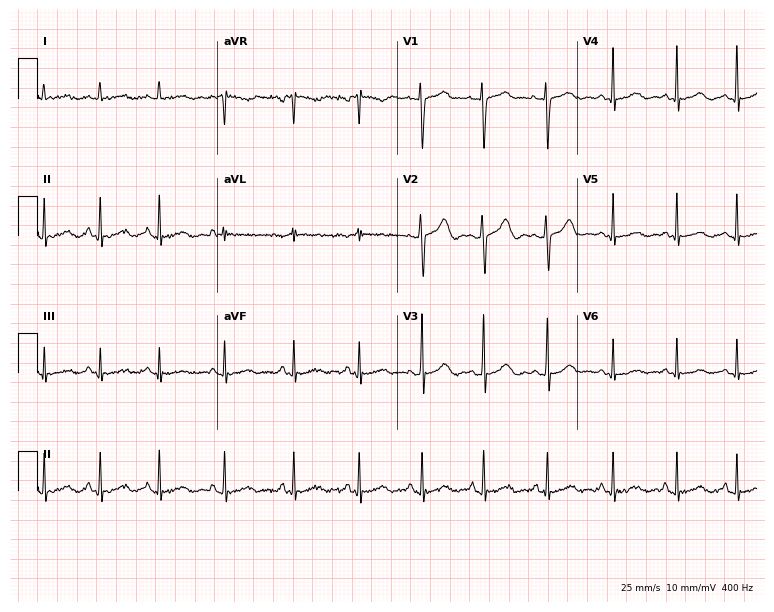
Standard 12-lead ECG recorded from a 27-year-old female (7.3-second recording at 400 Hz). None of these six findings is recorded: first-degree AV block, right bundle branch block, left bundle branch block, sinus bradycardia, atrial fibrillation, sinus tachycardia. Findings outside these six are not listed.